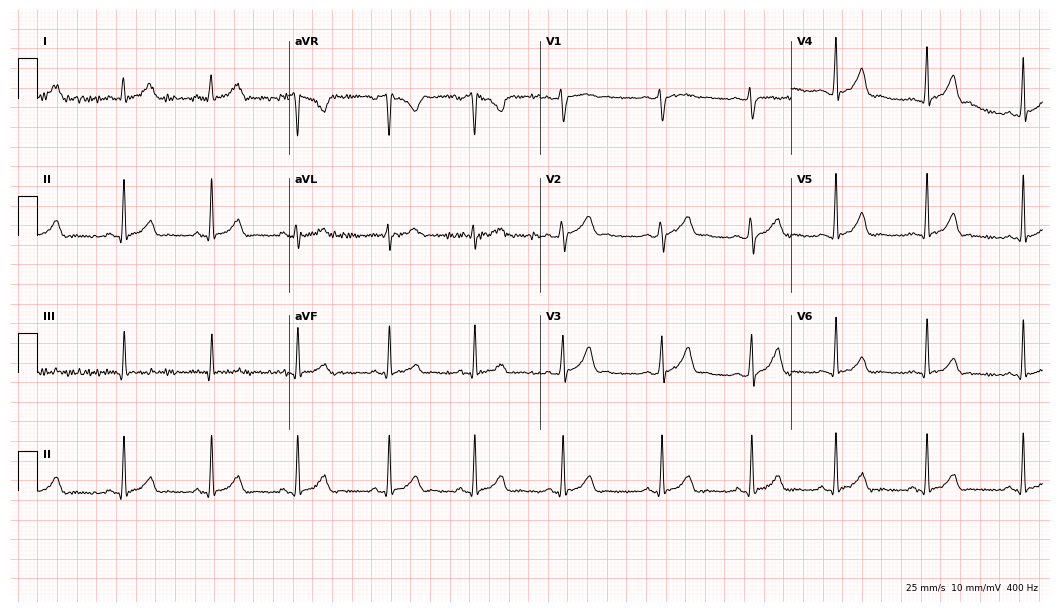
Electrocardiogram (10.2-second recording at 400 Hz), a 29-year-old female patient. Overall reading on record: normal ECG.